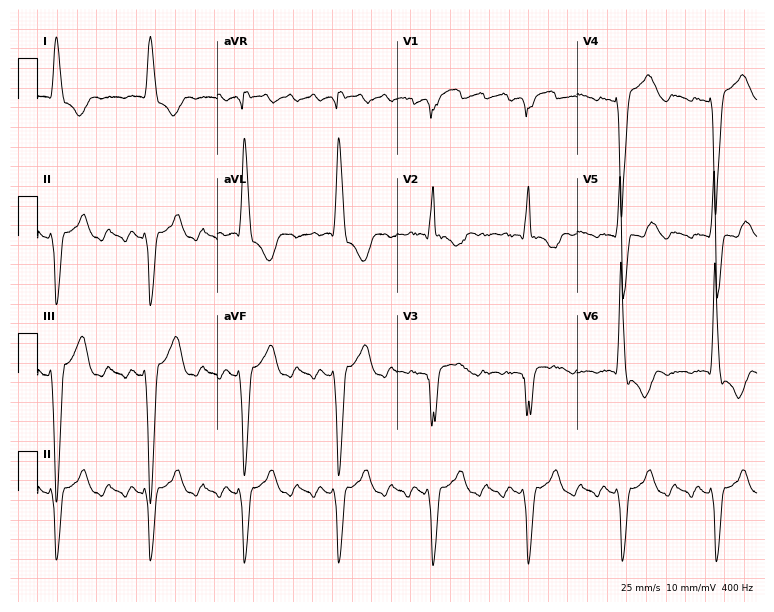
12-lead ECG from an 83-year-old male (7.3-second recording at 400 Hz). Shows right bundle branch block (RBBB).